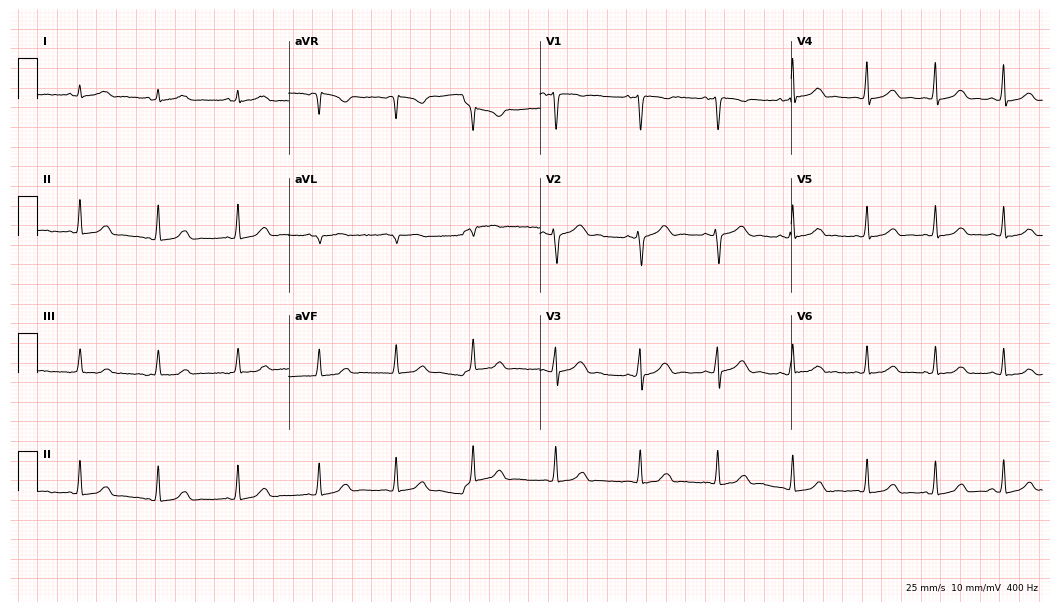
ECG — a 24-year-old female. Labelled as a normal ECG.